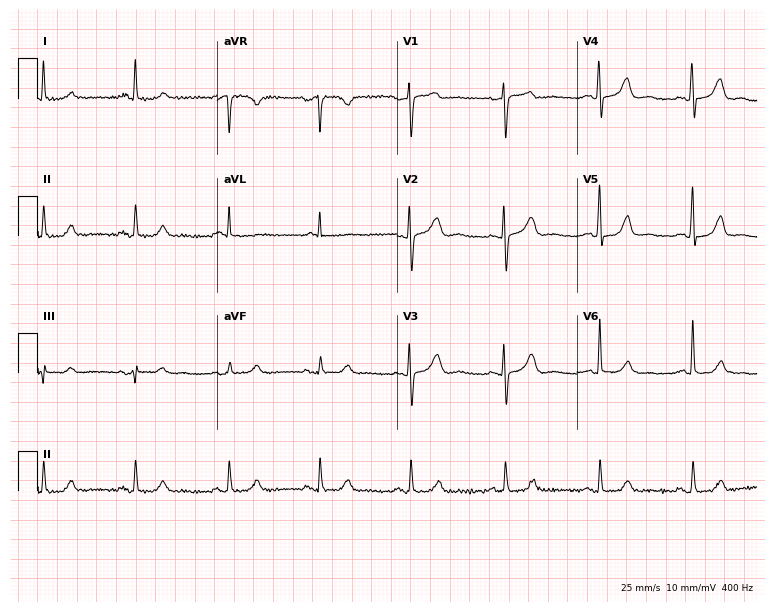
Electrocardiogram, a 62-year-old woman. Of the six screened findings (first-degree AV block, right bundle branch block (RBBB), left bundle branch block (LBBB), sinus bradycardia, atrial fibrillation (AF), sinus tachycardia), none is recorded.